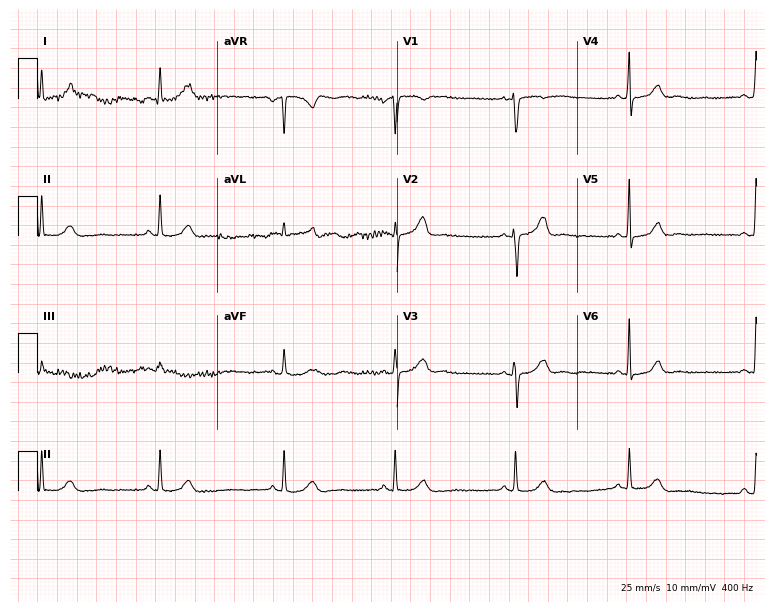
Standard 12-lead ECG recorded from a female patient, 25 years old (7.3-second recording at 400 Hz). Read as a normal ECG.